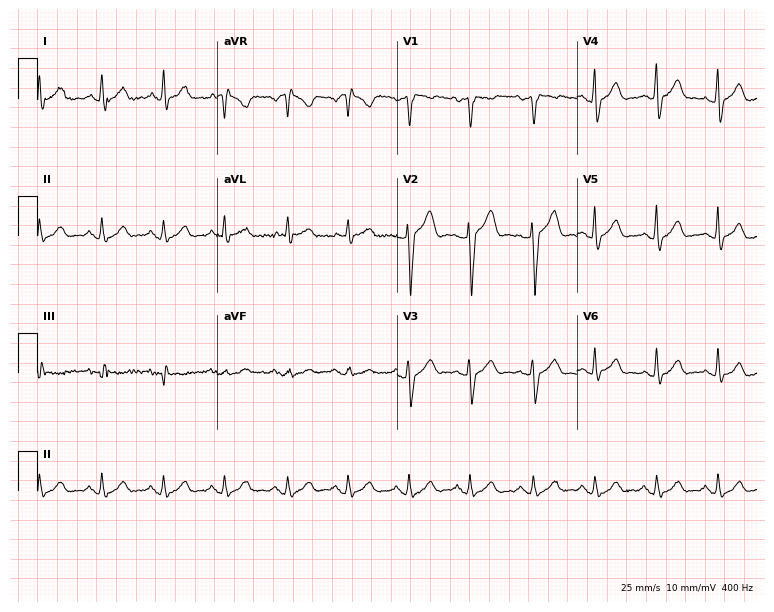
12-lead ECG from a 63-year-old man (7.3-second recording at 400 Hz). Recorded interpretation: within normal limits.